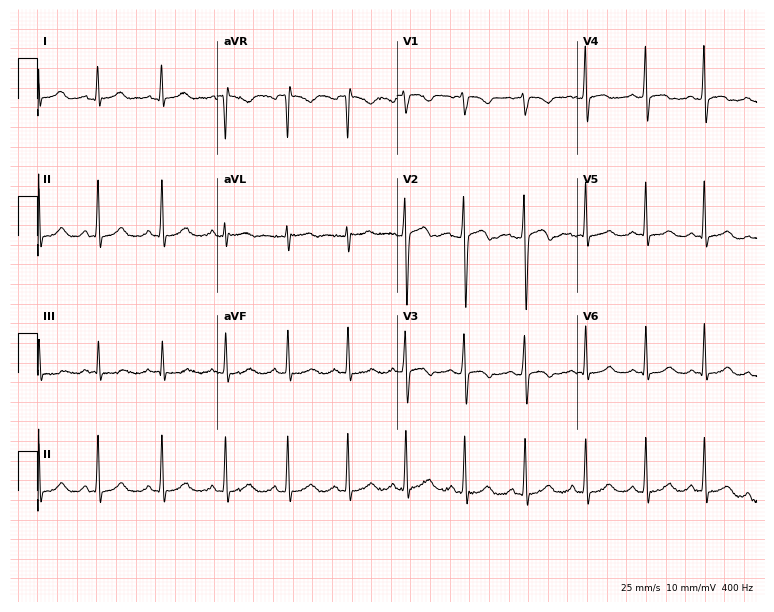
Standard 12-lead ECG recorded from a female patient, 22 years old (7.3-second recording at 400 Hz). Read as a normal ECG.